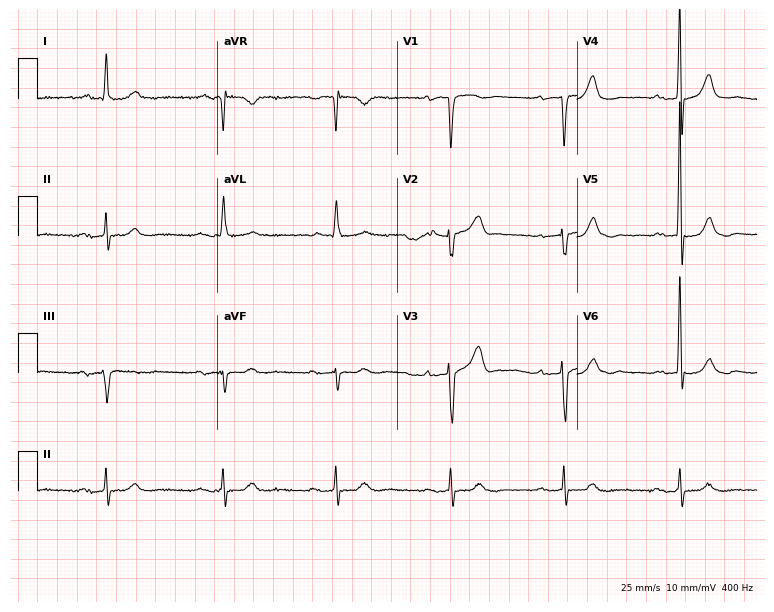
12-lead ECG (7.3-second recording at 400 Hz) from an 82-year-old male. Findings include first-degree AV block.